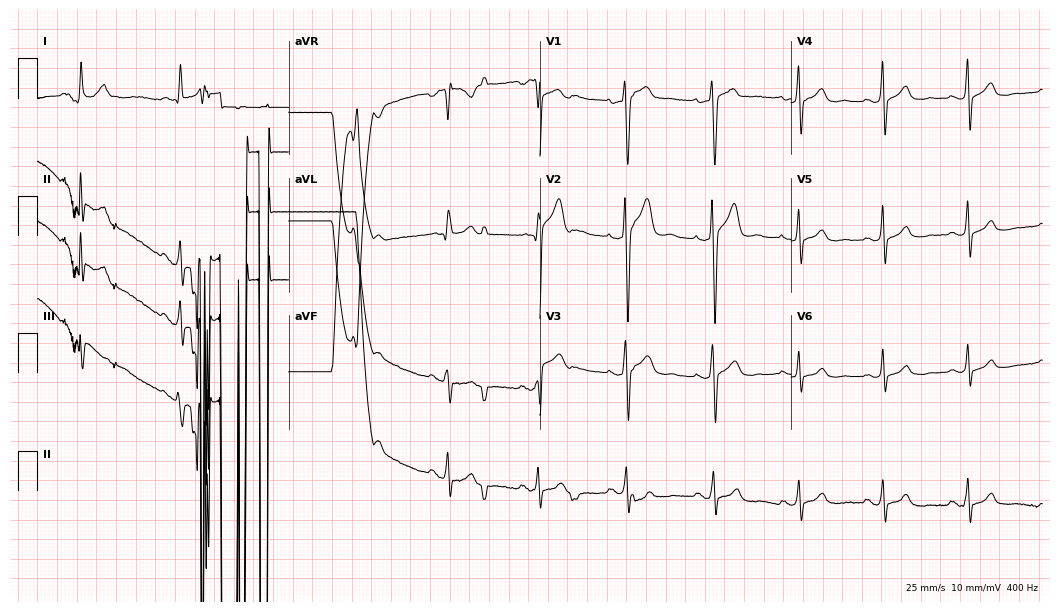
ECG (10.2-second recording at 400 Hz) — a 41-year-old male. Screened for six findings — first-degree AV block, right bundle branch block (RBBB), left bundle branch block (LBBB), sinus bradycardia, atrial fibrillation (AF), sinus tachycardia — none is recorded. Findings outside these six are not listed.